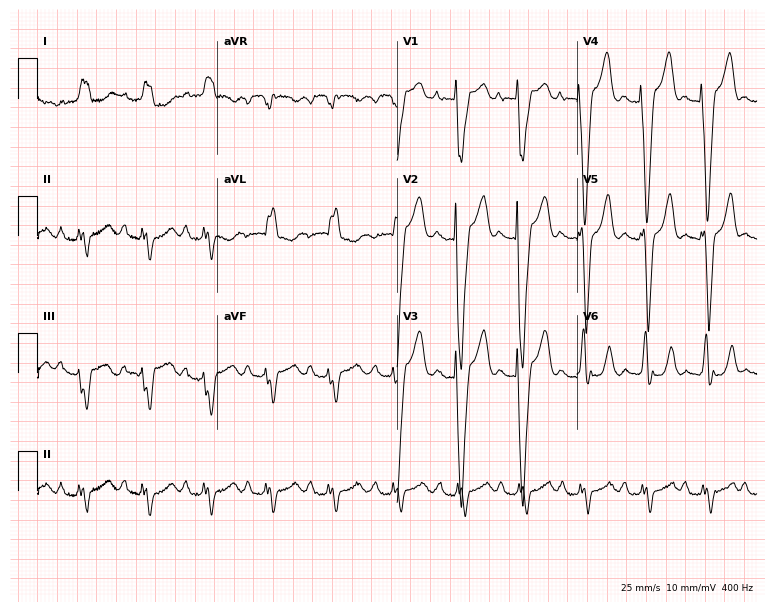
12-lead ECG from a woman, 68 years old (7.3-second recording at 400 Hz). Shows left bundle branch block (LBBB).